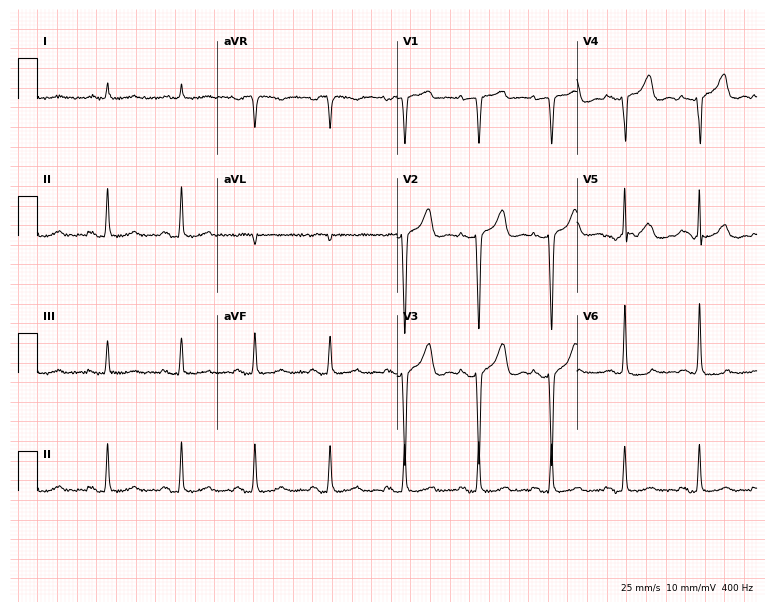
ECG (7.3-second recording at 400 Hz) — a 65-year-old male patient. Screened for six findings — first-degree AV block, right bundle branch block (RBBB), left bundle branch block (LBBB), sinus bradycardia, atrial fibrillation (AF), sinus tachycardia — none is recorded. Other findings, if any, are not listed.